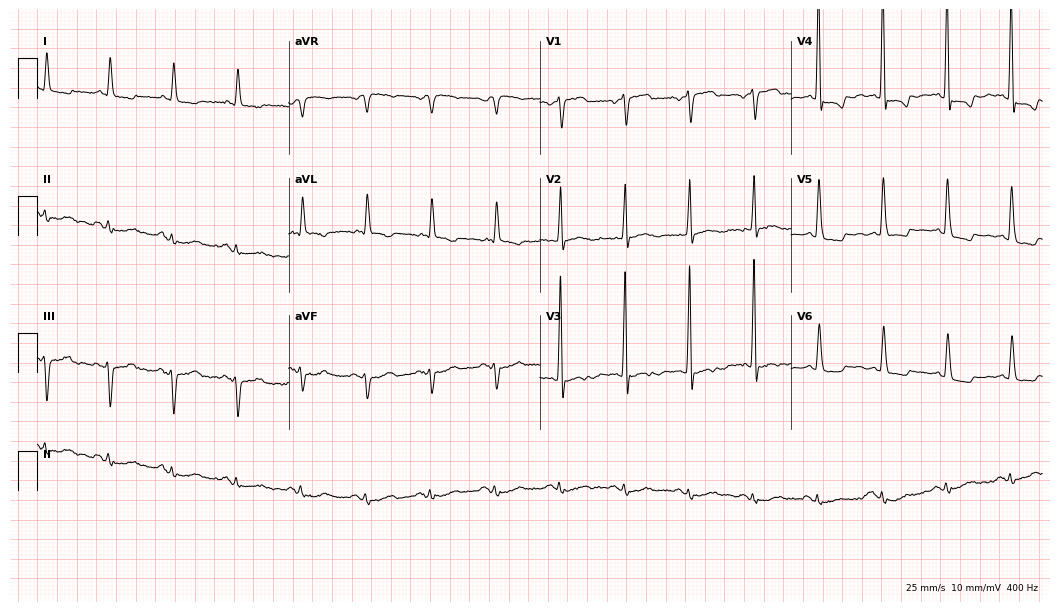
12-lead ECG from a male, 67 years old. No first-degree AV block, right bundle branch block (RBBB), left bundle branch block (LBBB), sinus bradycardia, atrial fibrillation (AF) or sinus tachycardia recorded for this tracing. Other findings, if any, are not listed.